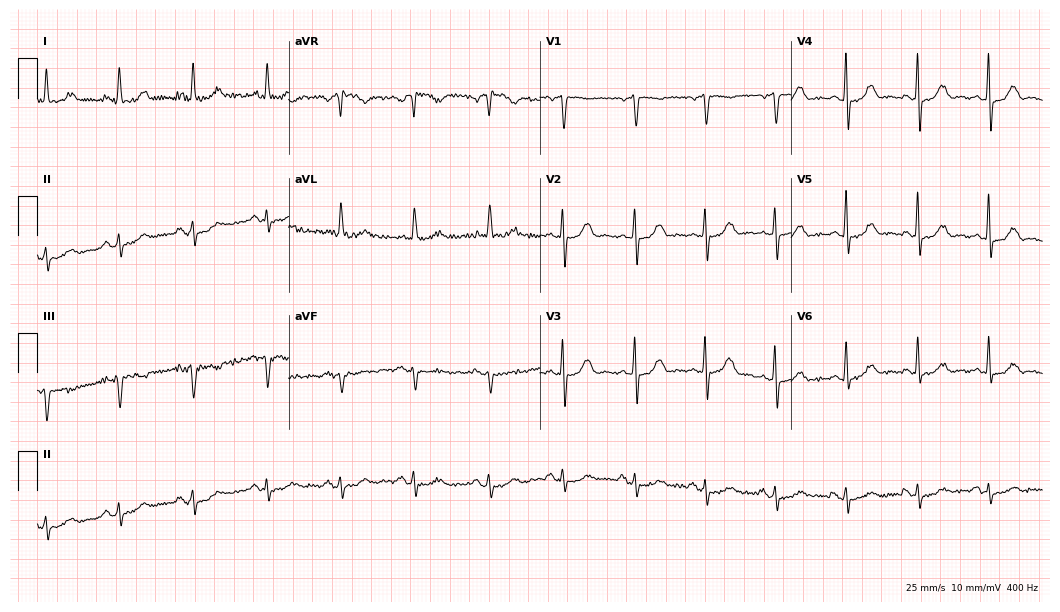
12-lead ECG (10.2-second recording at 400 Hz) from a woman, 71 years old. Labelled as a normal ECG.